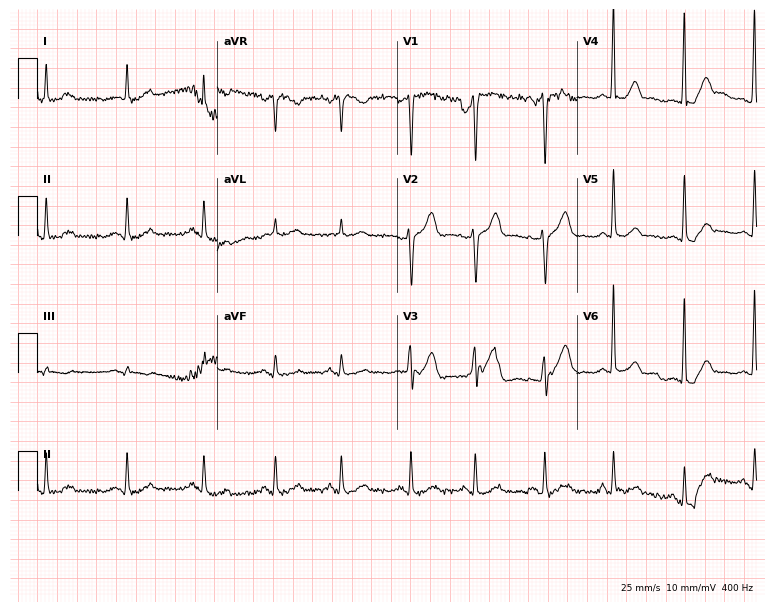
12-lead ECG from a 47-year-old man. Screened for six findings — first-degree AV block, right bundle branch block, left bundle branch block, sinus bradycardia, atrial fibrillation, sinus tachycardia — none is recorded.